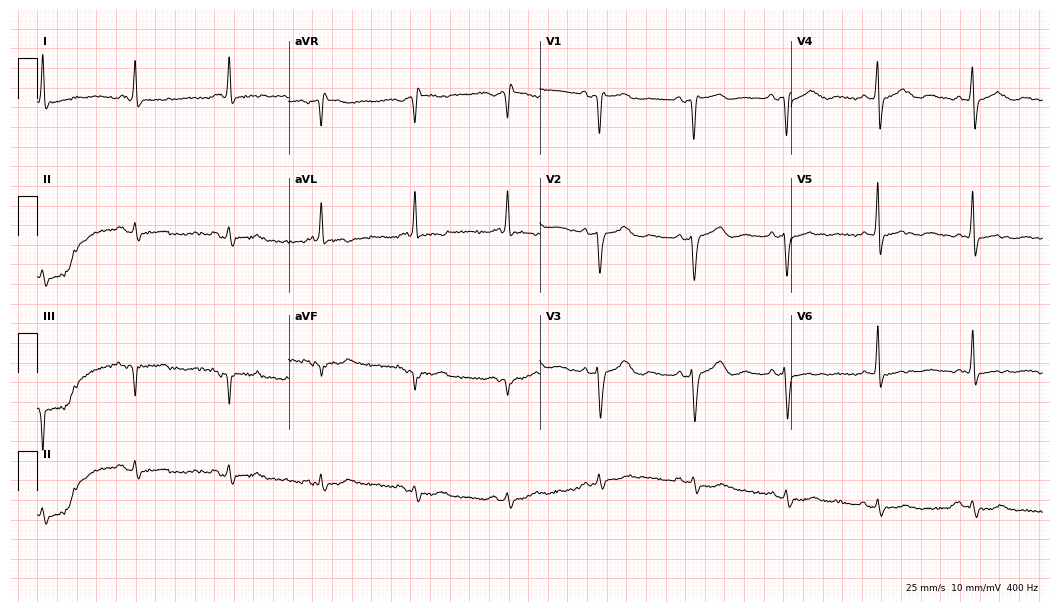
12-lead ECG from an 82-year-old female patient. No first-degree AV block, right bundle branch block, left bundle branch block, sinus bradycardia, atrial fibrillation or sinus tachycardia recorded for this tracing. Only these six findings were labelled.